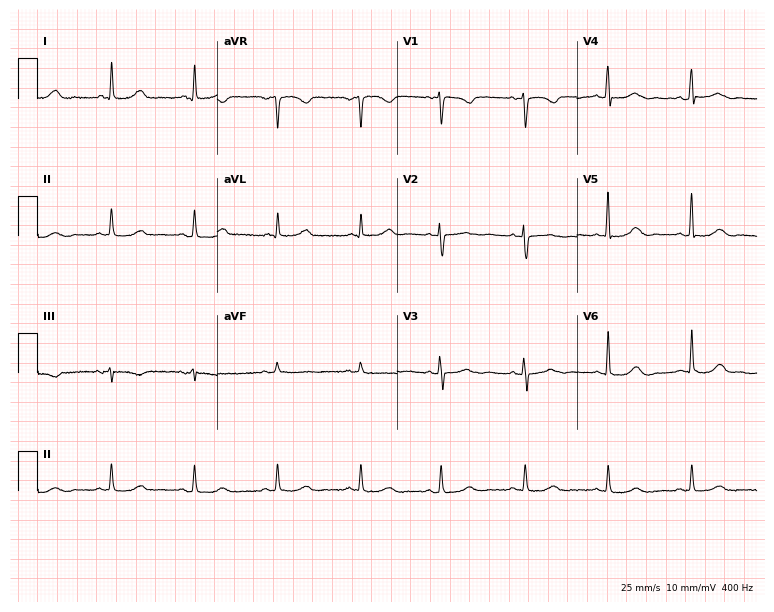
ECG — a female patient, 47 years old. Screened for six findings — first-degree AV block, right bundle branch block, left bundle branch block, sinus bradycardia, atrial fibrillation, sinus tachycardia — none is recorded. Findings outside these six are not listed.